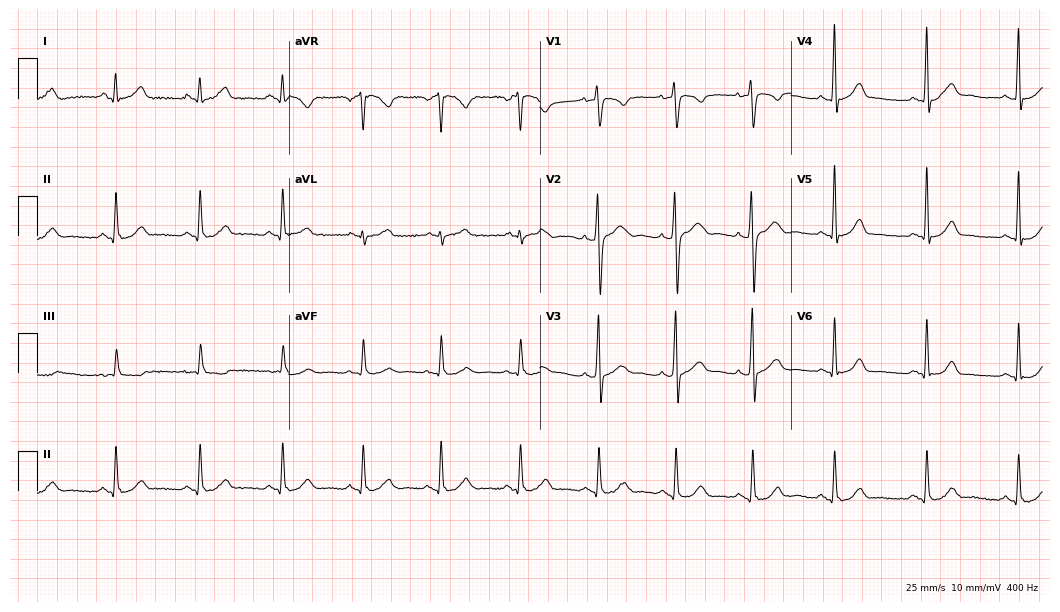
ECG — a 35-year-old male. Labelled as a normal ECG.